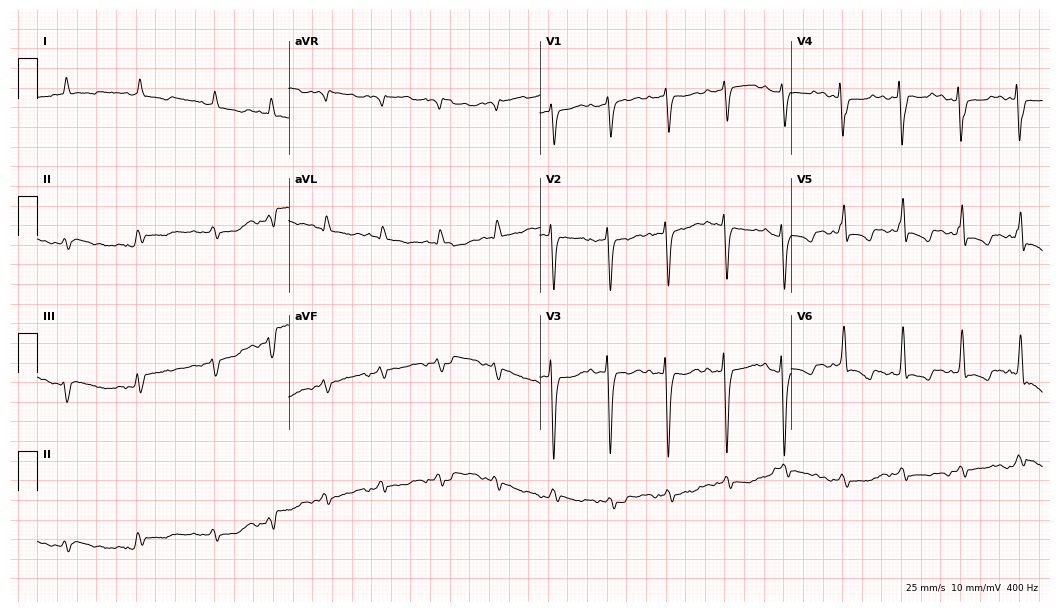
Standard 12-lead ECG recorded from an 81-year-old man. None of these six findings is recorded: first-degree AV block, right bundle branch block (RBBB), left bundle branch block (LBBB), sinus bradycardia, atrial fibrillation (AF), sinus tachycardia.